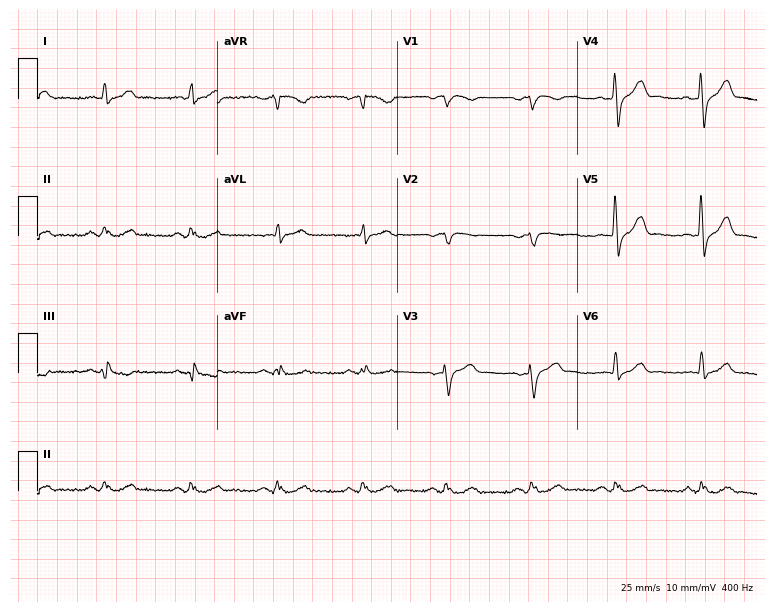
Electrocardiogram, a 75-year-old man. Of the six screened findings (first-degree AV block, right bundle branch block (RBBB), left bundle branch block (LBBB), sinus bradycardia, atrial fibrillation (AF), sinus tachycardia), none is recorded.